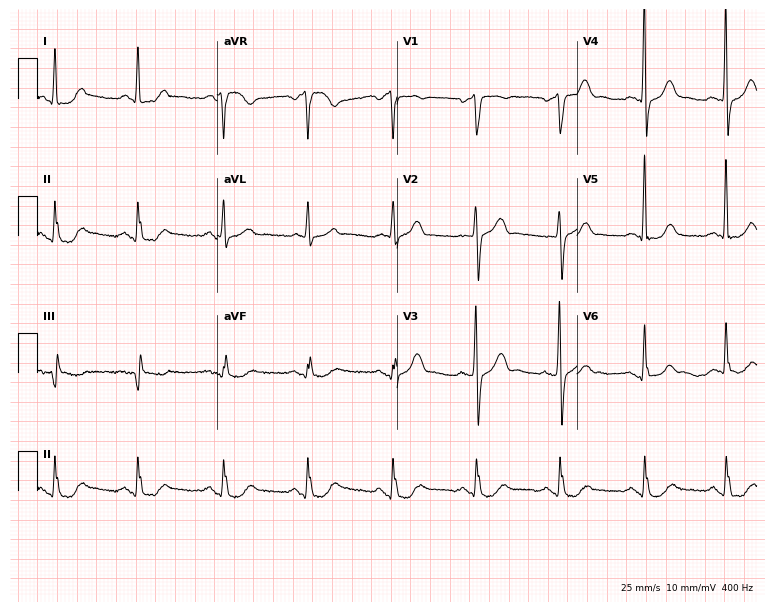
ECG — a male, 43 years old. Screened for six findings — first-degree AV block, right bundle branch block (RBBB), left bundle branch block (LBBB), sinus bradycardia, atrial fibrillation (AF), sinus tachycardia — none is recorded.